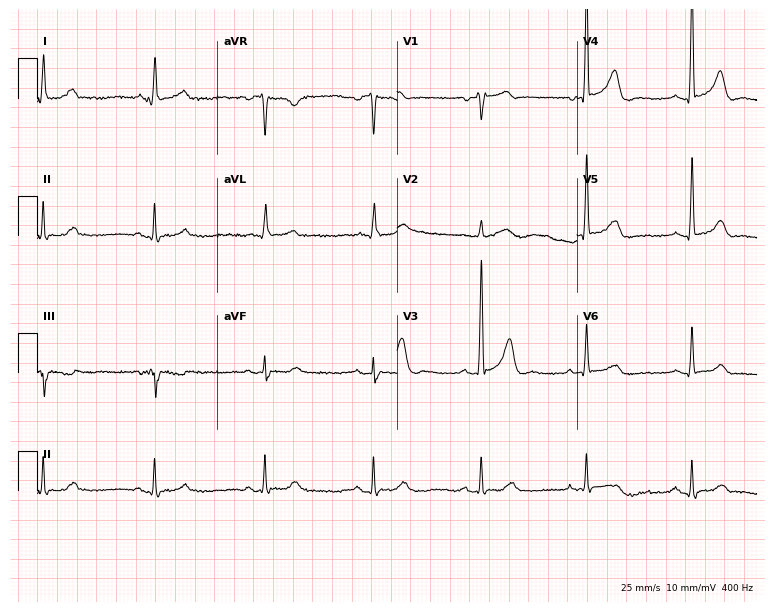
ECG — a female patient, 68 years old. Labelled as a normal ECG.